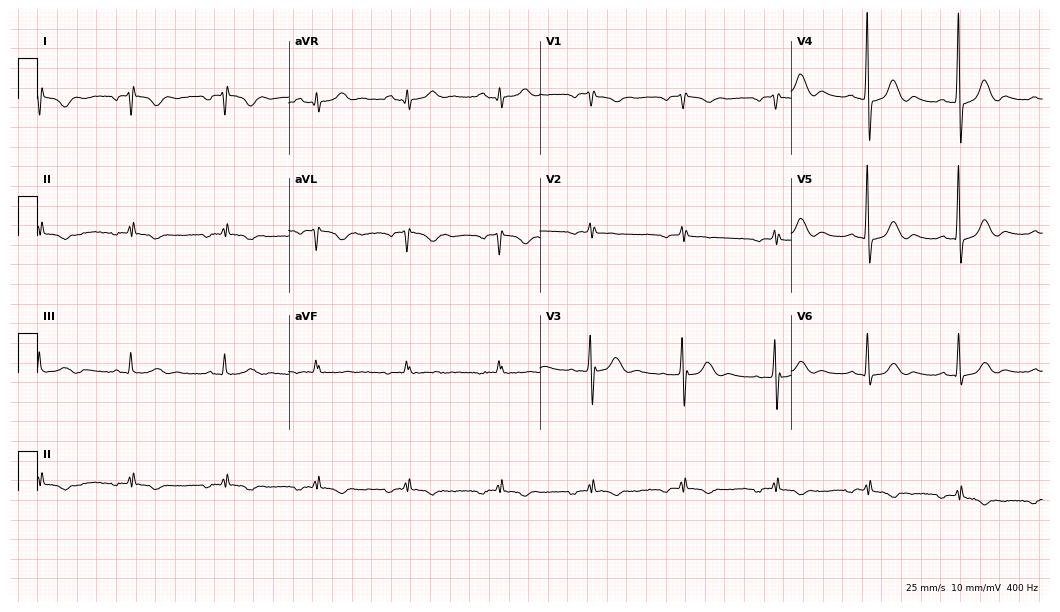
ECG (10.2-second recording at 400 Hz) — a woman, 77 years old. Screened for six findings — first-degree AV block, right bundle branch block, left bundle branch block, sinus bradycardia, atrial fibrillation, sinus tachycardia — none is recorded.